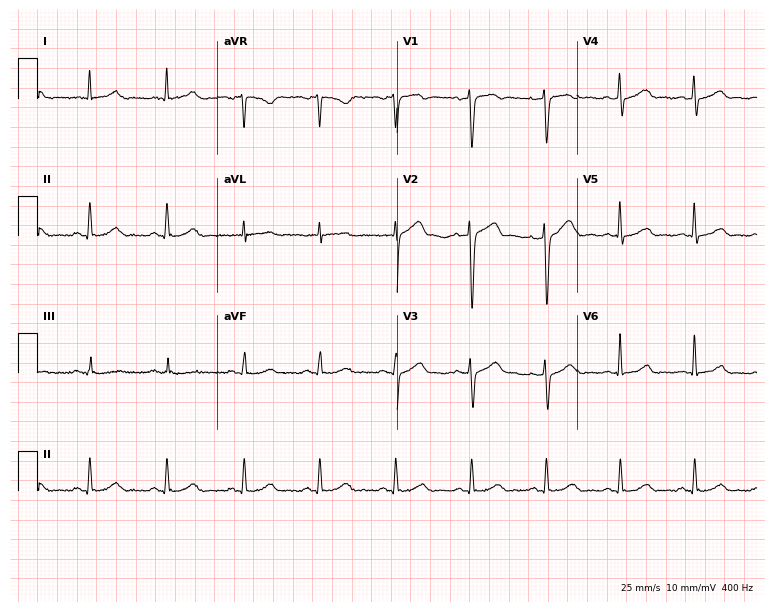
ECG (7.3-second recording at 400 Hz) — a man, 43 years old. Screened for six findings — first-degree AV block, right bundle branch block, left bundle branch block, sinus bradycardia, atrial fibrillation, sinus tachycardia — none is recorded. Other findings, if any, are not listed.